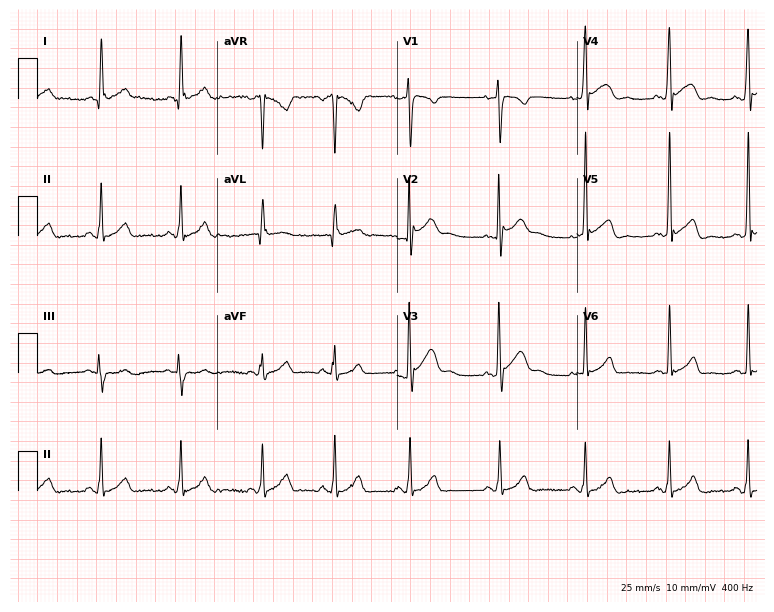
12-lead ECG from a man, 23 years old. Screened for six findings — first-degree AV block, right bundle branch block (RBBB), left bundle branch block (LBBB), sinus bradycardia, atrial fibrillation (AF), sinus tachycardia — none is recorded. Findings outside these six are not listed.